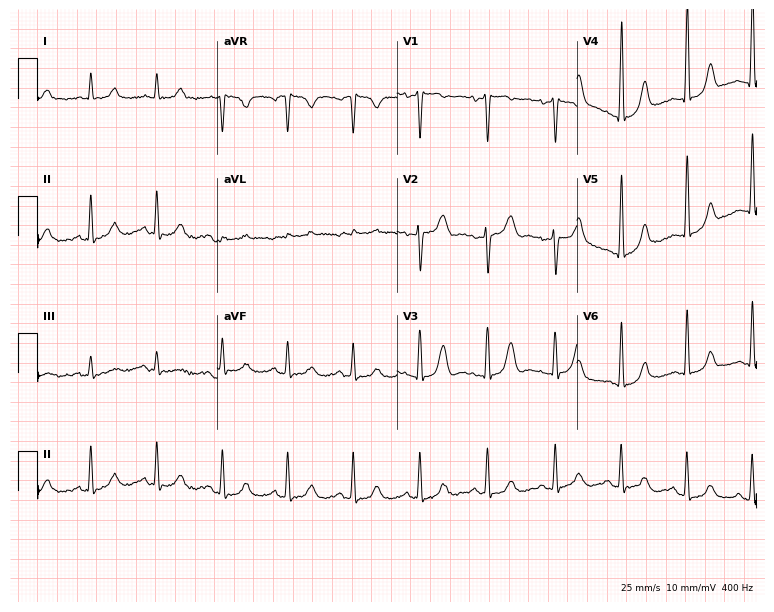
ECG (7.3-second recording at 400 Hz) — a 68-year-old female. Screened for six findings — first-degree AV block, right bundle branch block, left bundle branch block, sinus bradycardia, atrial fibrillation, sinus tachycardia — none is recorded.